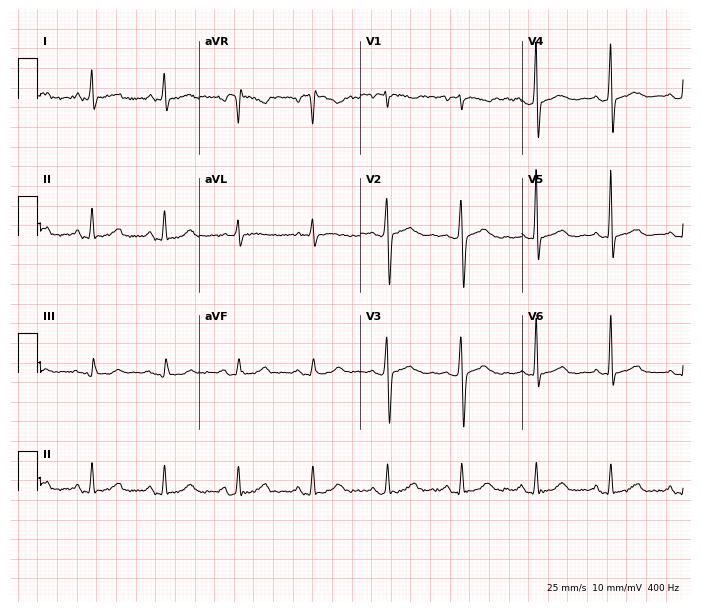
Standard 12-lead ECG recorded from a 44-year-old female. None of these six findings is recorded: first-degree AV block, right bundle branch block, left bundle branch block, sinus bradycardia, atrial fibrillation, sinus tachycardia.